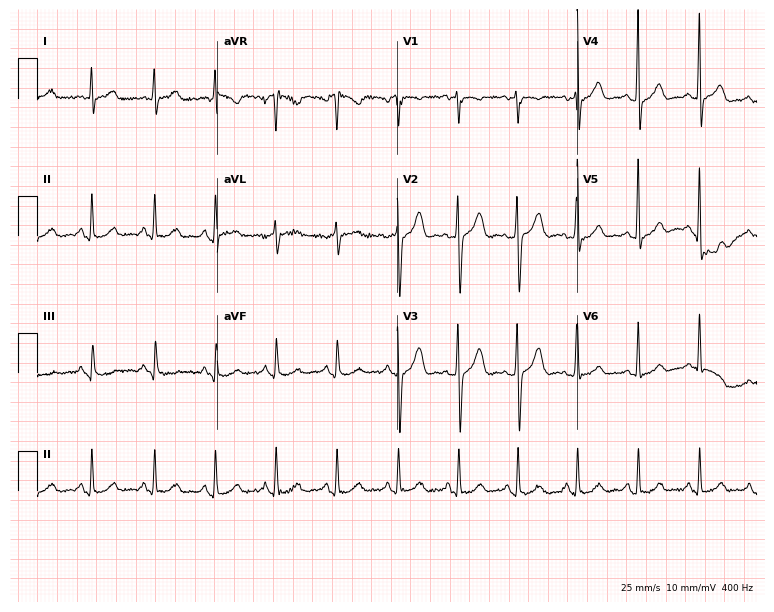
Electrocardiogram, a woman, 38 years old. Of the six screened findings (first-degree AV block, right bundle branch block (RBBB), left bundle branch block (LBBB), sinus bradycardia, atrial fibrillation (AF), sinus tachycardia), none is recorded. Other findings, if any, are not listed.